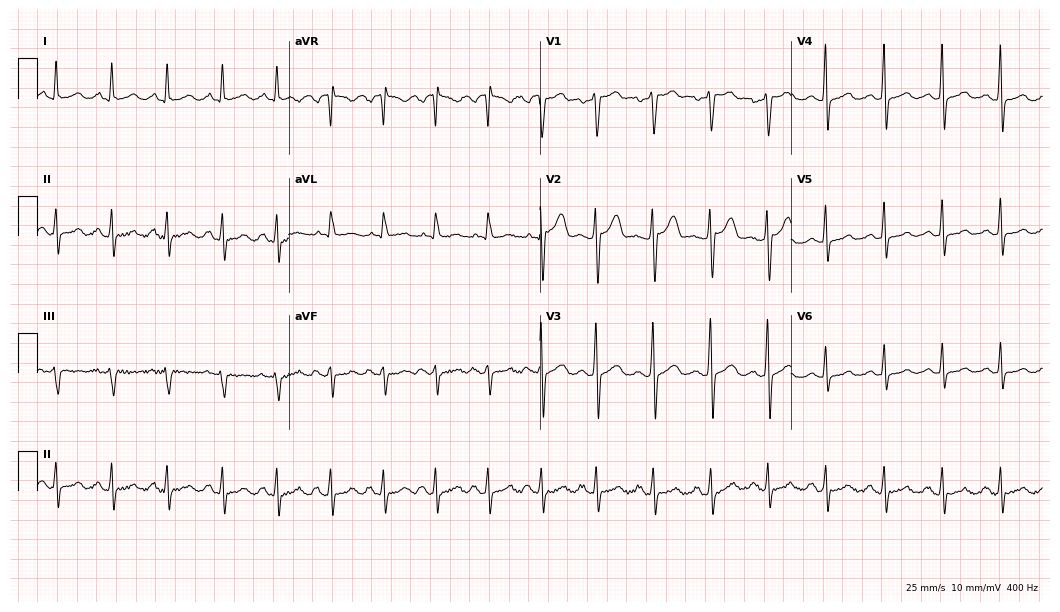
12-lead ECG from a man, 34 years old. Shows sinus tachycardia (a sinus rate of 100 beats per minute or more).